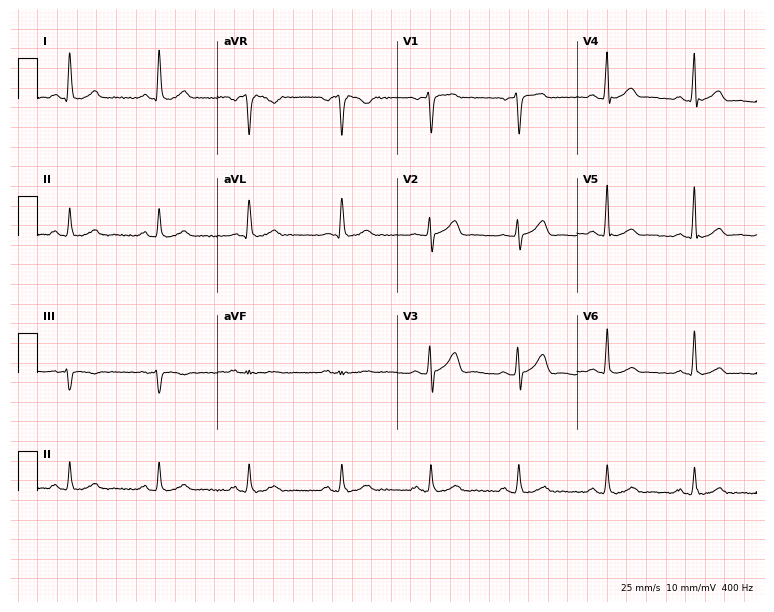
12-lead ECG from a 39-year-old man. Screened for six findings — first-degree AV block, right bundle branch block, left bundle branch block, sinus bradycardia, atrial fibrillation, sinus tachycardia — none is recorded.